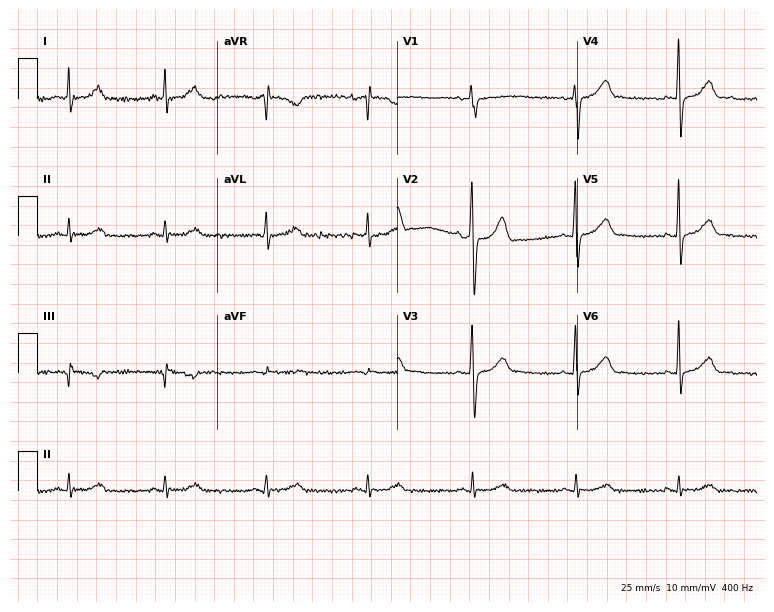
12-lead ECG from a male patient, 54 years old. Recorded interpretation: within normal limits.